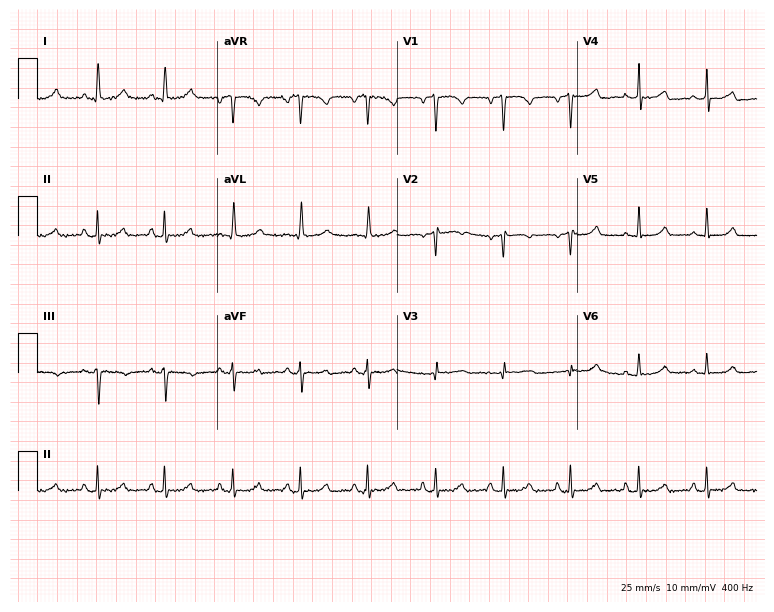
Electrocardiogram (7.3-second recording at 400 Hz), a female, 62 years old. Overall reading on record: normal ECG.